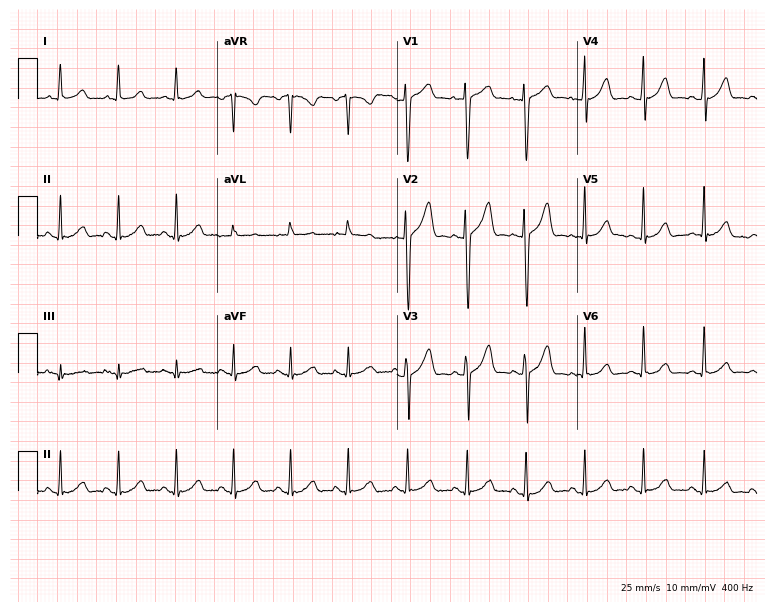
Standard 12-lead ECG recorded from a 30-year-old woman (7.3-second recording at 400 Hz). Read as a normal ECG.